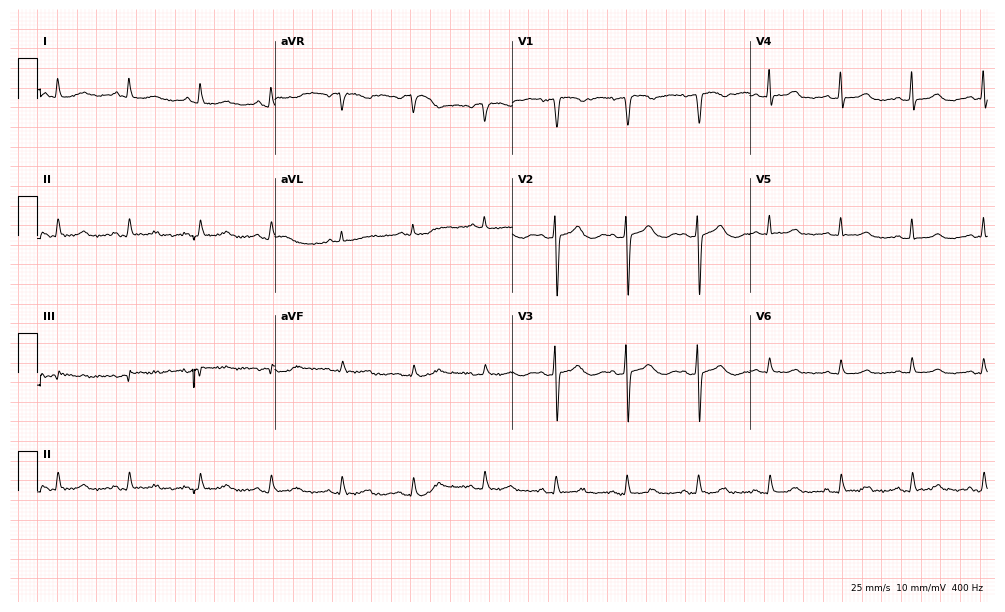
ECG — a 65-year-old female patient. Labelled as a normal ECG.